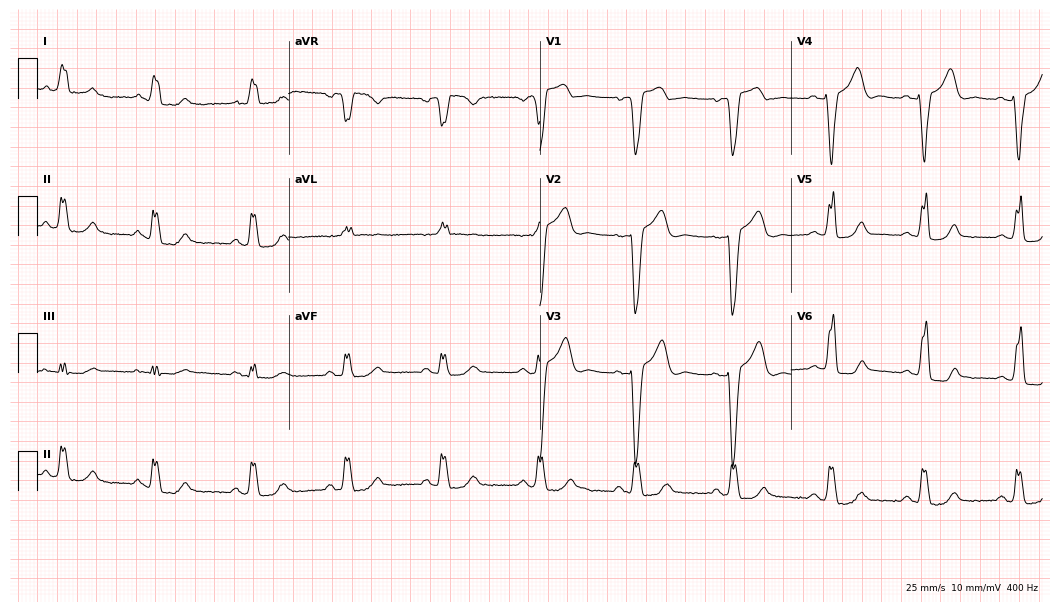
Standard 12-lead ECG recorded from a 59-year-old female patient. The tracing shows left bundle branch block.